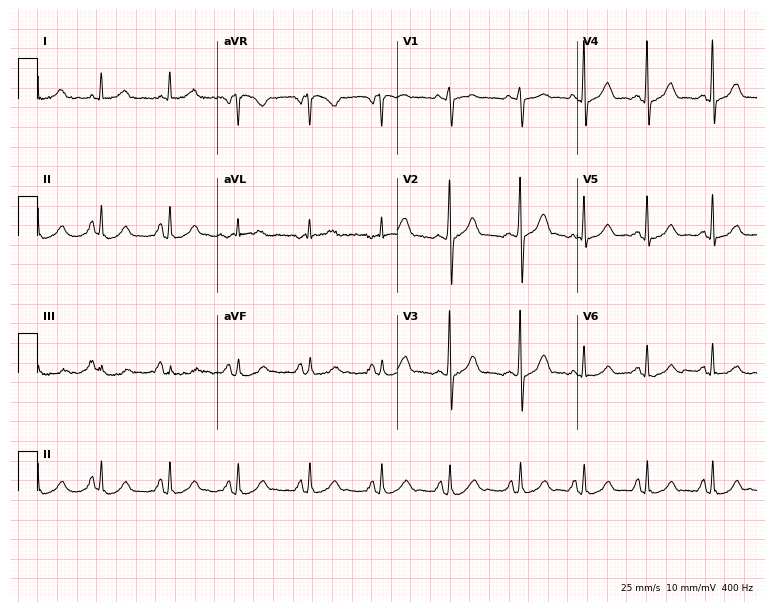
Electrocardiogram, a woman, 27 years old. Of the six screened findings (first-degree AV block, right bundle branch block, left bundle branch block, sinus bradycardia, atrial fibrillation, sinus tachycardia), none is recorded. Only these six findings were labelled.